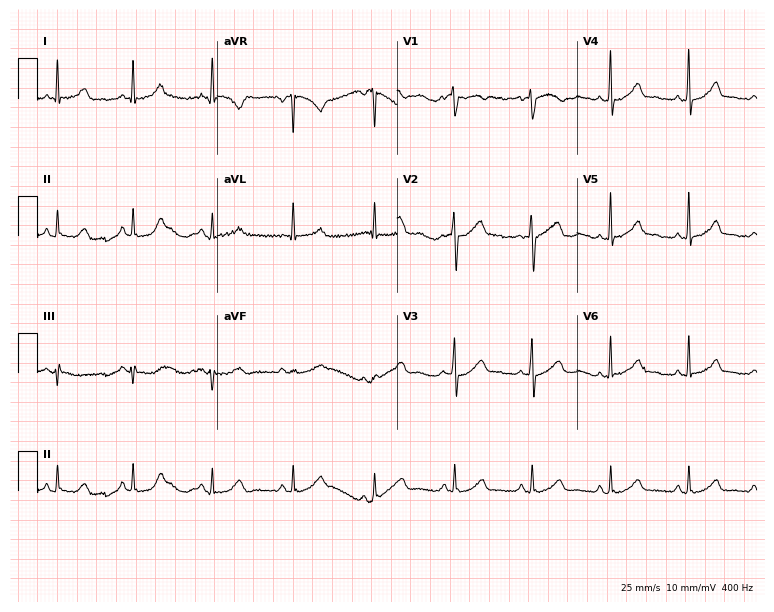
Electrocardiogram (7.3-second recording at 400 Hz), a woman, 52 years old. Of the six screened findings (first-degree AV block, right bundle branch block, left bundle branch block, sinus bradycardia, atrial fibrillation, sinus tachycardia), none is recorded.